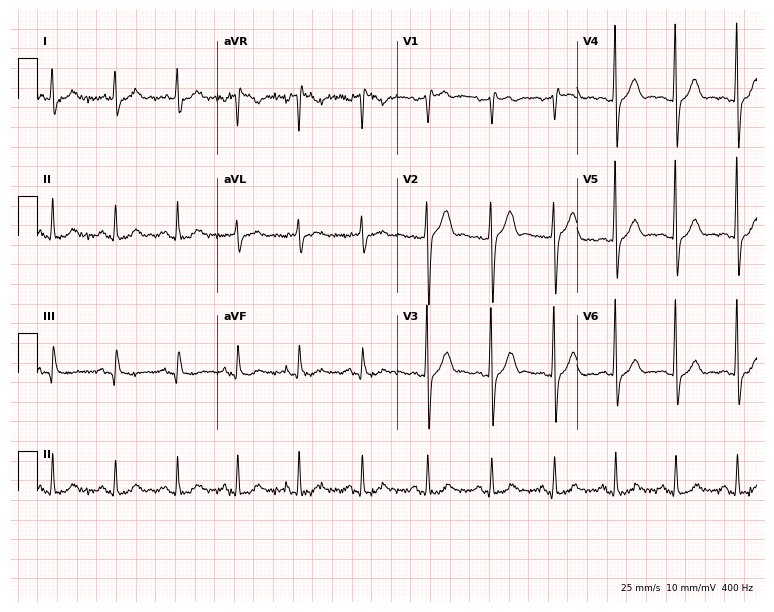
ECG (7.3-second recording at 400 Hz) — a 53-year-old male. Screened for six findings — first-degree AV block, right bundle branch block, left bundle branch block, sinus bradycardia, atrial fibrillation, sinus tachycardia — none is recorded. Findings outside these six are not listed.